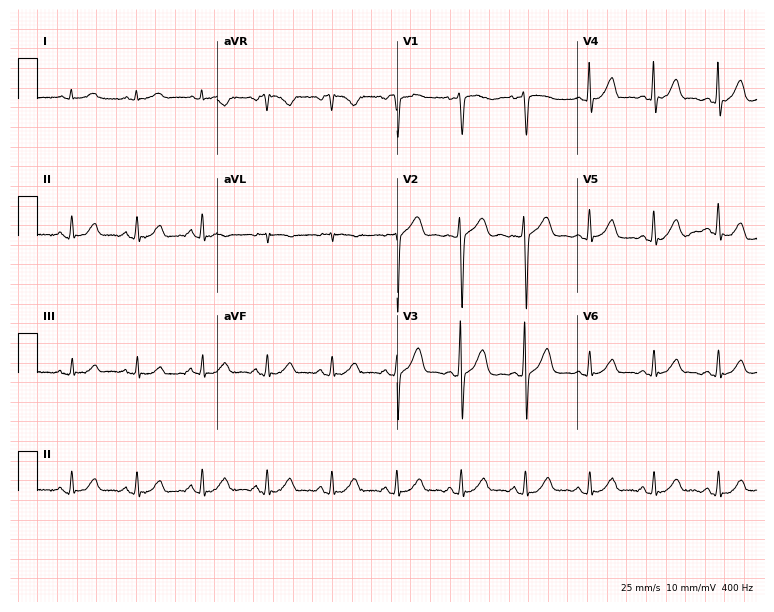
12-lead ECG from a man, 71 years old. Labelled as a normal ECG.